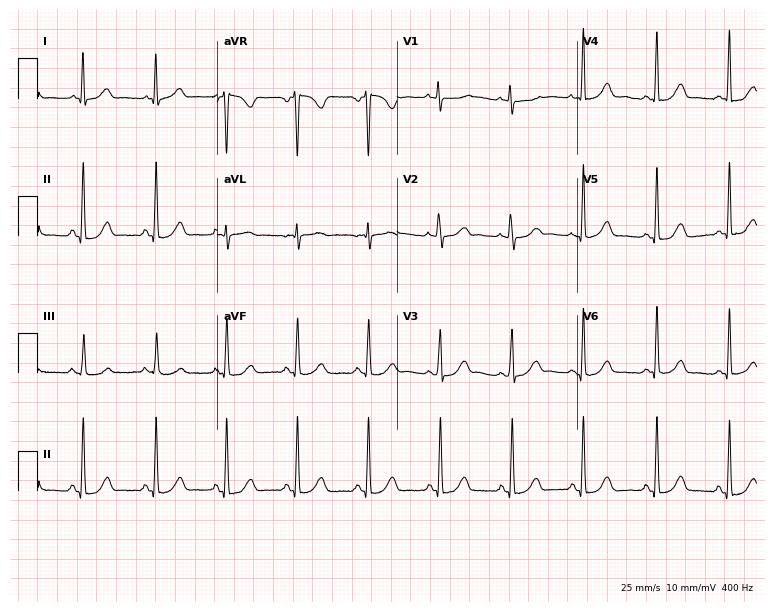
Electrocardiogram, a 28-year-old female patient. Overall reading on record: normal ECG.